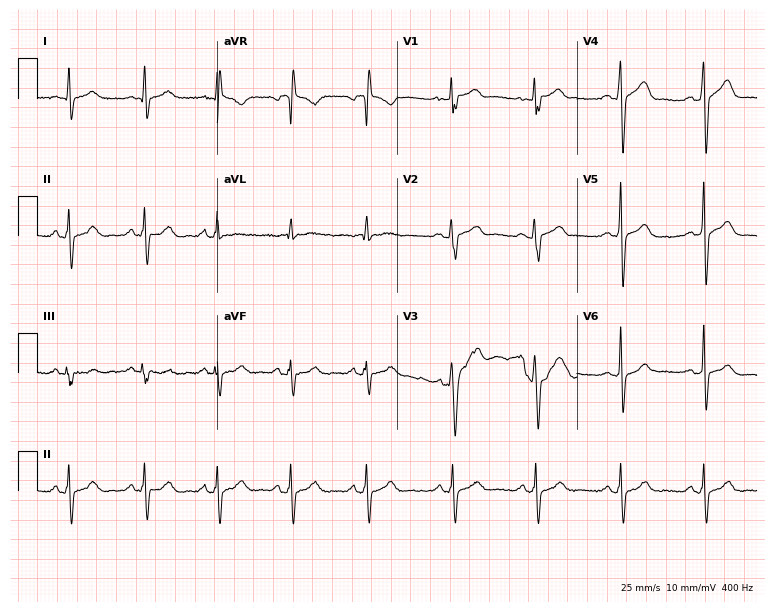
12-lead ECG from a 39-year-old male. Screened for six findings — first-degree AV block, right bundle branch block, left bundle branch block, sinus bradycardia, atrial fibrillation, sinus tachycardia — none is recorded. Only these six findings were labelled.